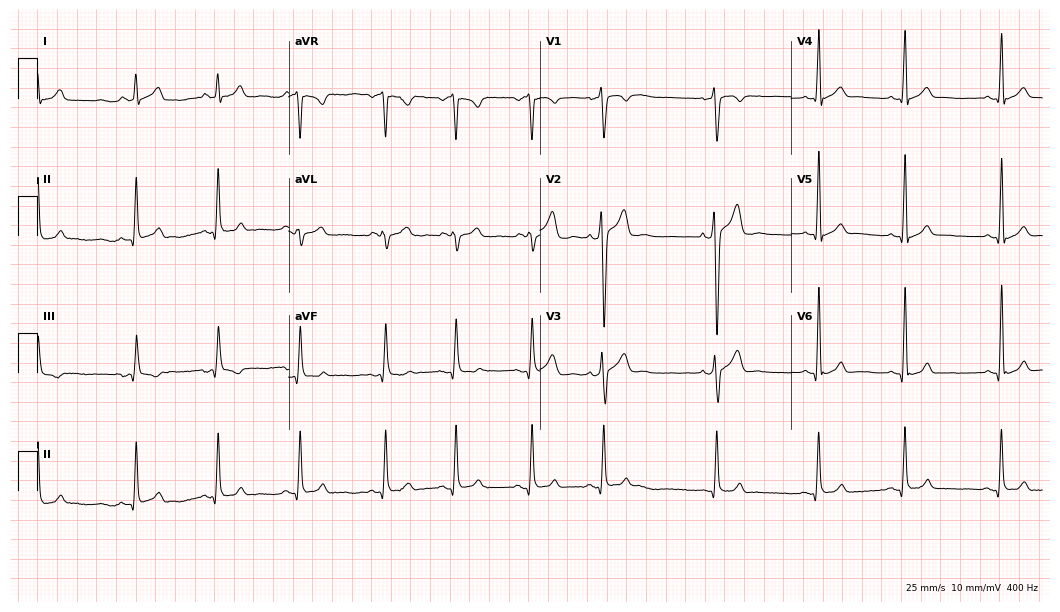
12-lead ECG from a man, 20 years old. No first-degree AV block, right bundle branch block (RBBB), left bundle branch block (LBBB), sinus bradycardia, atrial fibrillation (AF) or sinus tachycardia recorded for this tracing.